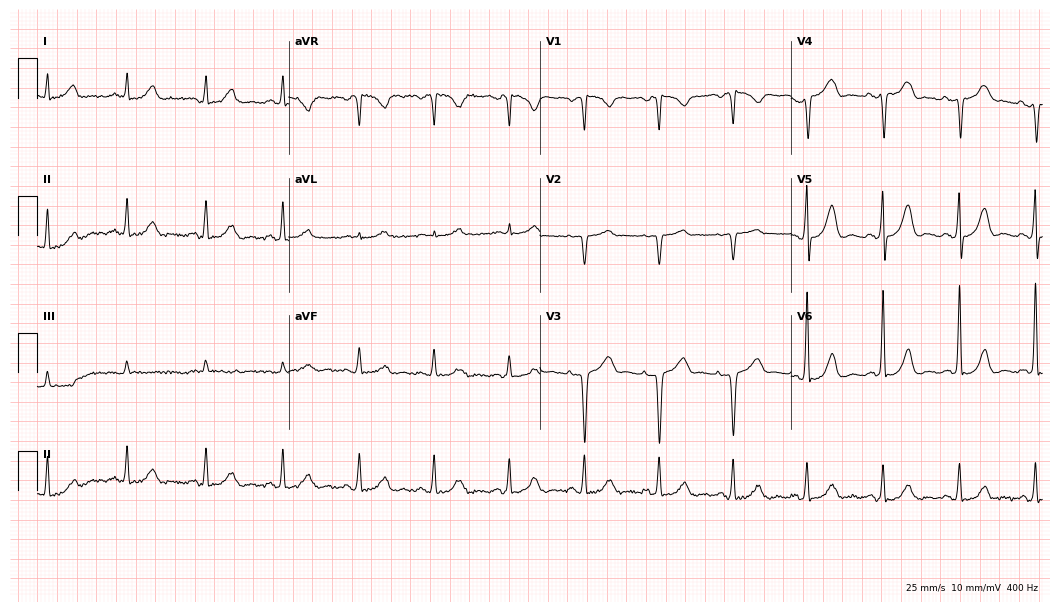
Standard 12-lead ECG recorded from a 60-year-old man (10.2-second recording at 400 Hz). None of these six findings is recorded: first-degree AV block, right bundle branch block, left bundle branch block, sinus bradycardia, atrial fibrillation, sinus tachycardia. Only these six findings were labelled.